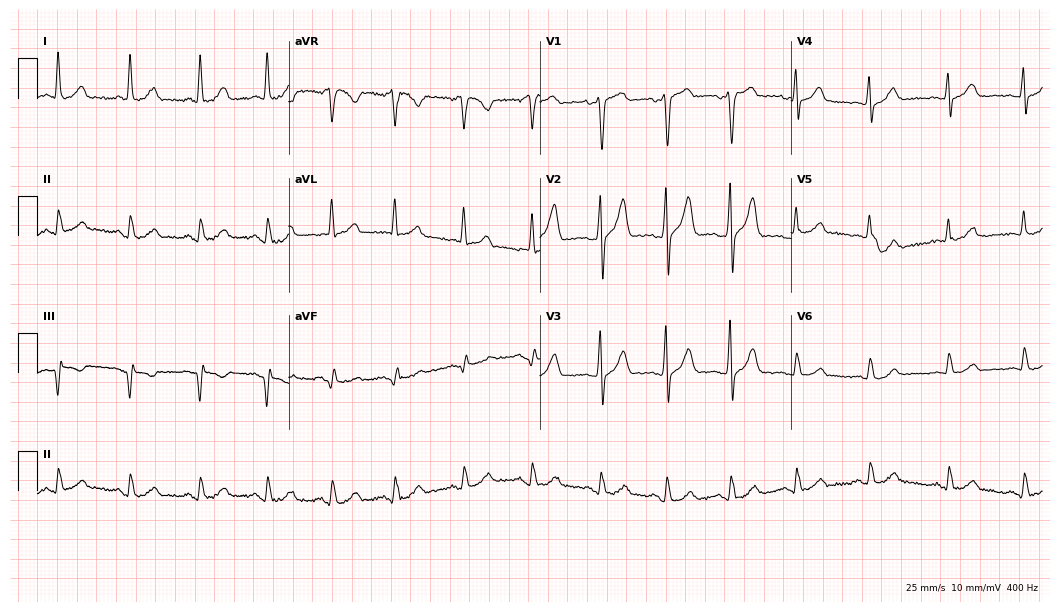
ECG (10.2-second recording at 400 Hz) — a 47-year-old man. Screened for six findings — first-degree AV block, right bundle branch block, left bundle branch block, sinus bradycardia, atrial fibrillation, sinus tachycardia — none is recorded.